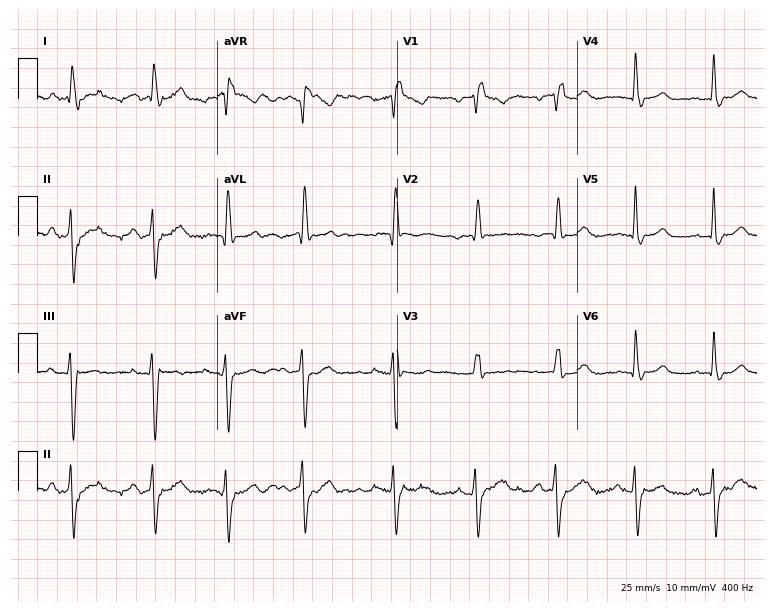
12-lead ECG (7.3-second recording at 400 Hz) from a woman, 73 years old. Findings include right bundle branch block.